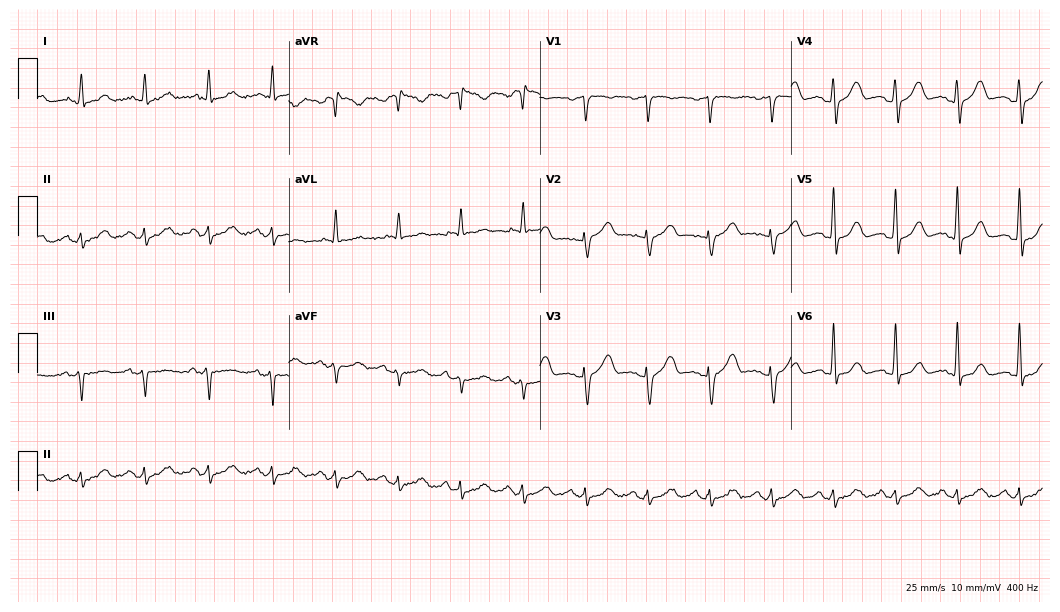
Standard 12-lead ECG recorded from a male, 73 years old (10.2-second recording at 400 Hz). None of these six findings is recorded: first-degree AV block, right bundle branch block, left bundle branch block, sinus bradycardia, atrial fibrillation, sinus tachycardia.